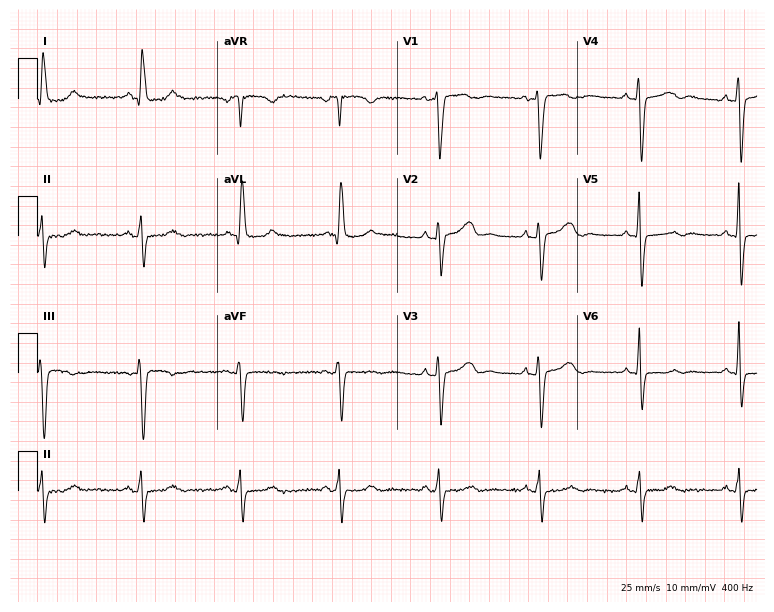
12-lead ECG from a female, 71 years old. Screened for six findings — first-degree AV block, right bundle branch block, left bundle branch block, sinus bradycardia, atrial fibrillation, sinus tachycardia — none is recorded. Other findings, if any, are not listed.